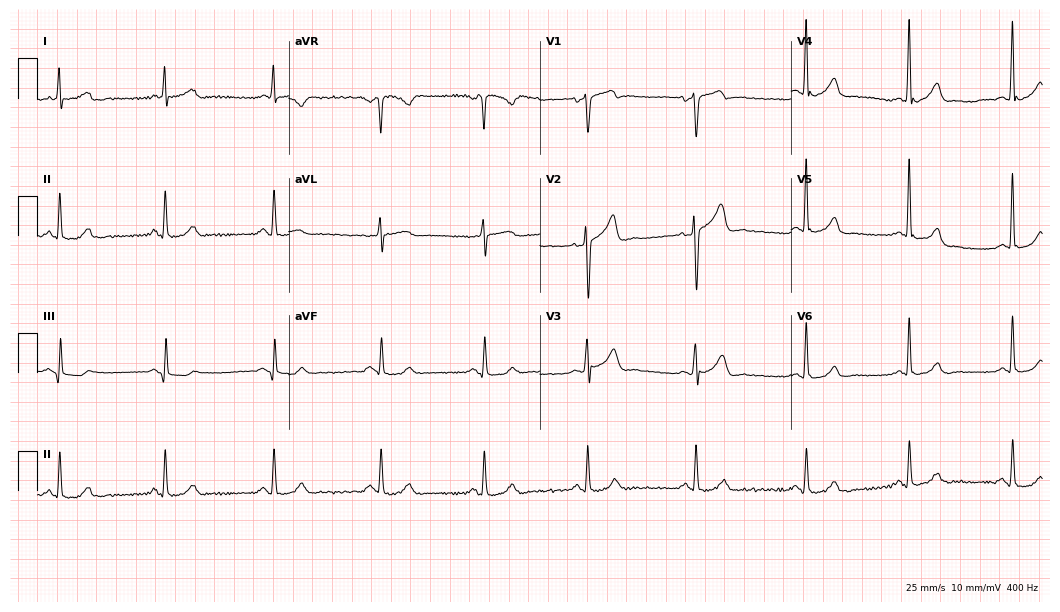
12-lead ECG (10.2-second recording at 400 Hz) from a man, 48 years old. Labelled as a normal ECG.